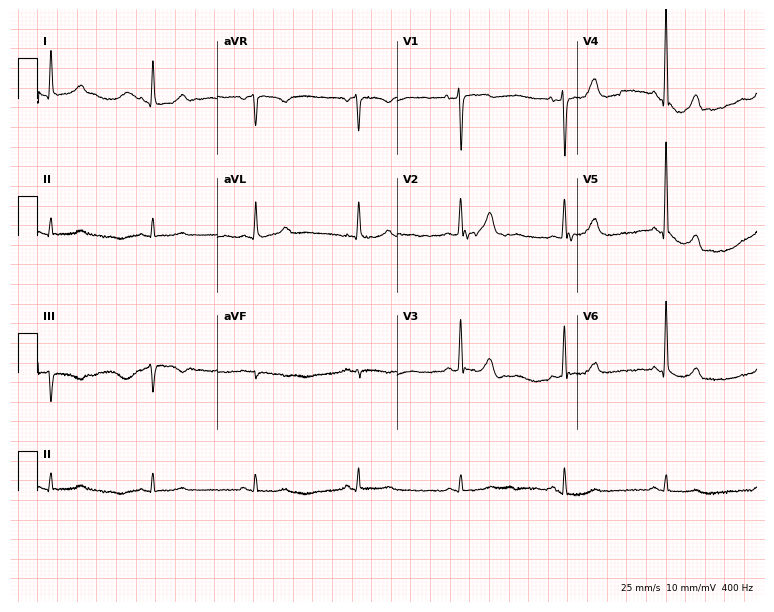
12-lead ECG from a woman, 61 years old. No first-degree AV block, right bundle branch block, left bundle branch block, sinus bradycardia, atrial fibrillation or sinus tachycardia recorded for this tracing.